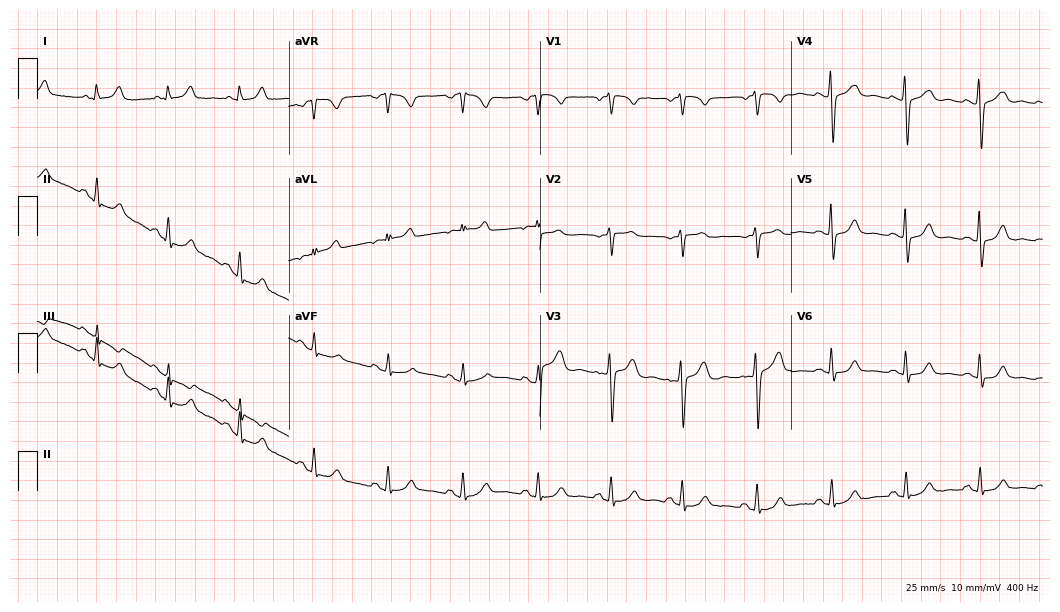
Standard 12-lead ECG recorded from a 46-year-old woman (10.2-second recording at 400 Hz). Read as a normal ECG.